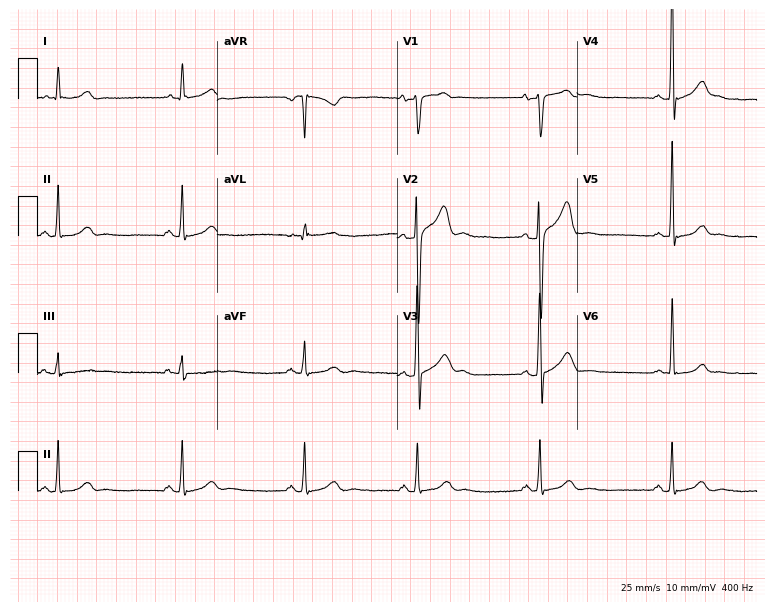
12-lead ECG (7.3-second recording at 400 Hz) from a male, 30 years old. Screened for six findings — first-degree AV block, right bundle branch block, left bundle branch block, sinus bradycardia, atrial fibrillation, sinus tachycardia — none is recorded.